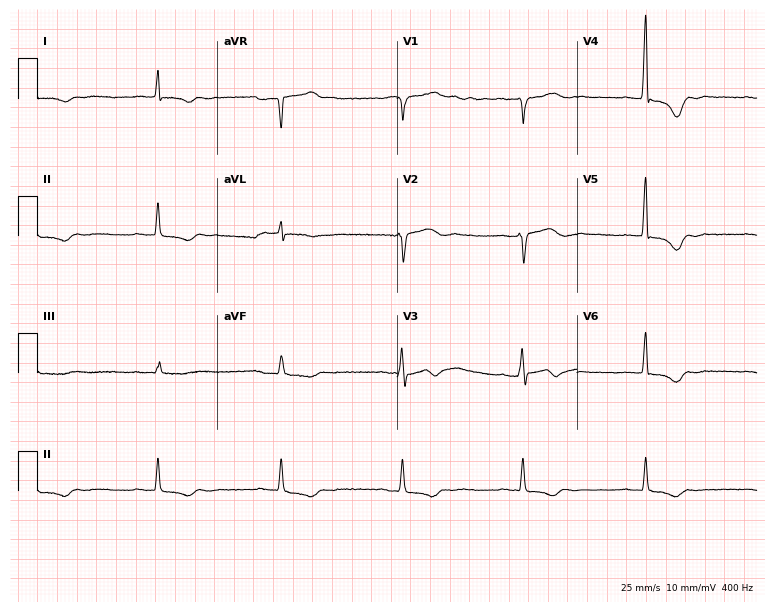
Electrocardiogram, a man, 53 years old. Interpretation includes sinus bradycardia (a sinus rate of 50 beats per minute or less).